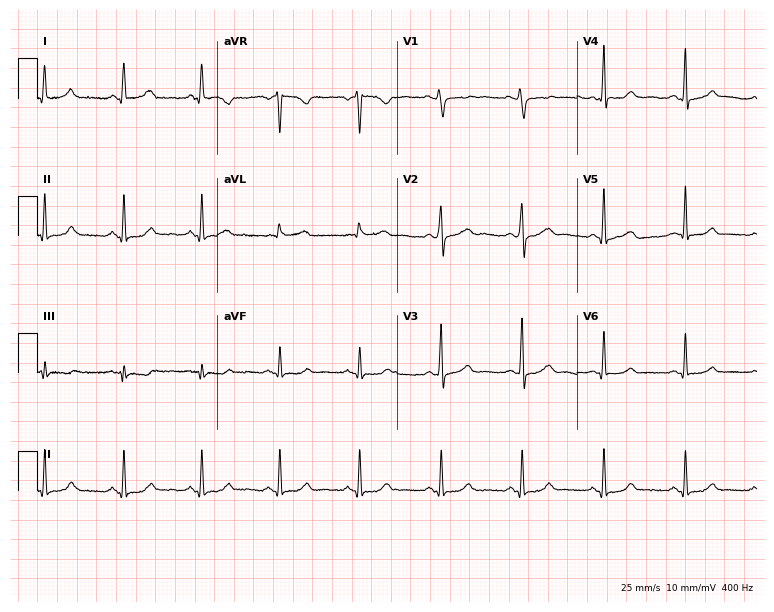
12-lead ECG from a woman, 38 years old (7.3-second recording at 400 Hz). Recorded interpretation: within normal limits.